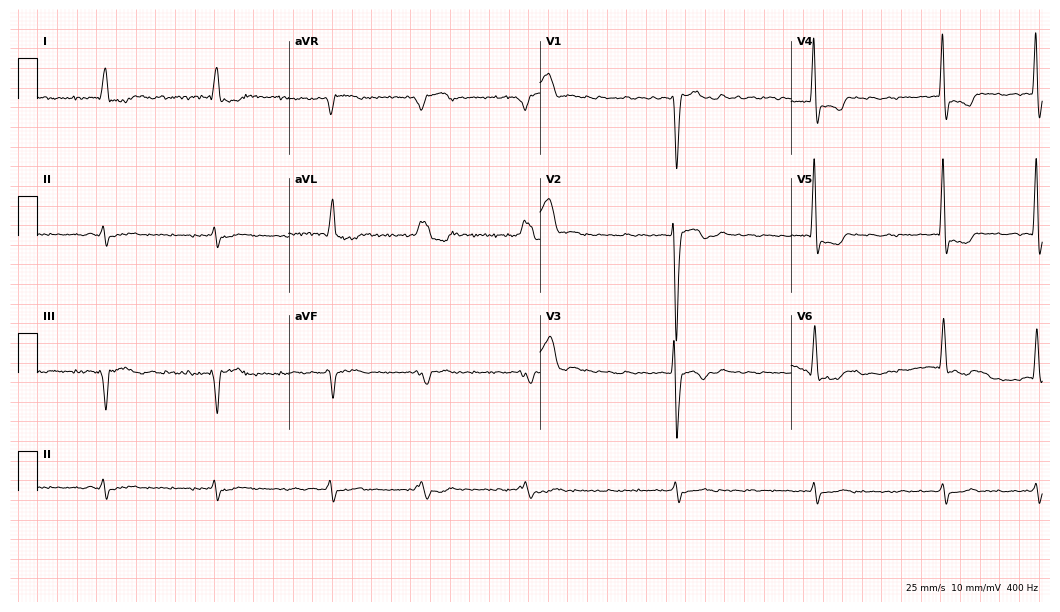
12-lead ECG from an 81-year-old male. No first-degree AV block, right bundle branch block, left bundle branch block, sinus bradycardia, atrial fibrillation or sinus tachycardia recorded for this tracing. Other findings, if any, are not listed.